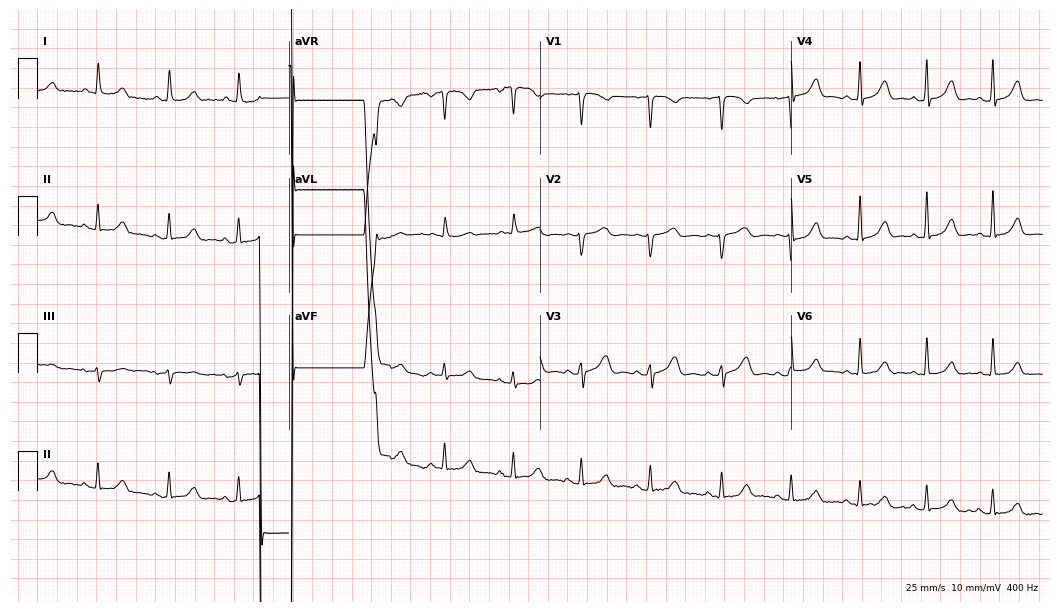
Resting 12-lead electrocardiogram (10.2-second recording at 400 Hz). Patient: a female, 43 years old. None of these six findings is recorded: first-degree AV block, right bundle branch block (RBBB), left bundle branch block (LBBB), sinus bradycardia, atrial fibrillation (AF), sinus tachycardia. Only these six findings were labelled.